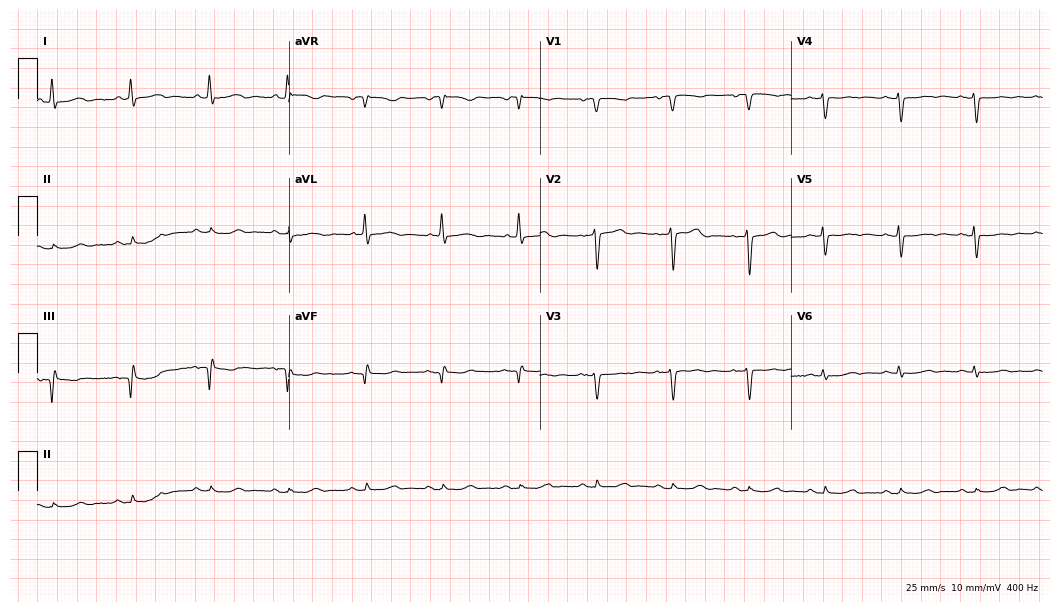
12-lead ECG from a 72-year-old woman. No first-degree AV block, right bundle branch block, left bundle branch block, sinus bradycardia, atrial fibrillation or sinus tachycardia recorded for this tracing. Findings outside these six are not listed.